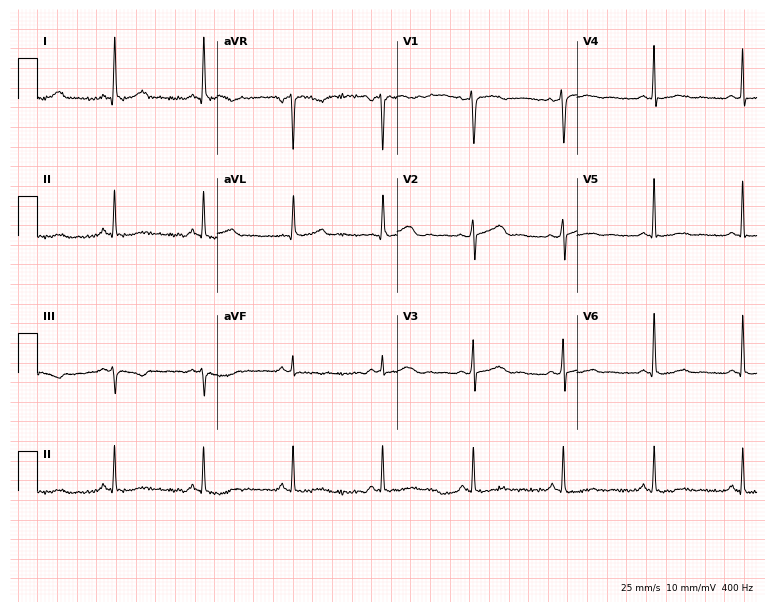
12-lead ECG from a female patient, 50 years old. No first-degree AV block, right bundle branch block, left bundle branch block, sinus bradycardia, atrial fibrillation or sinus tachycardia recorded for this tracing.